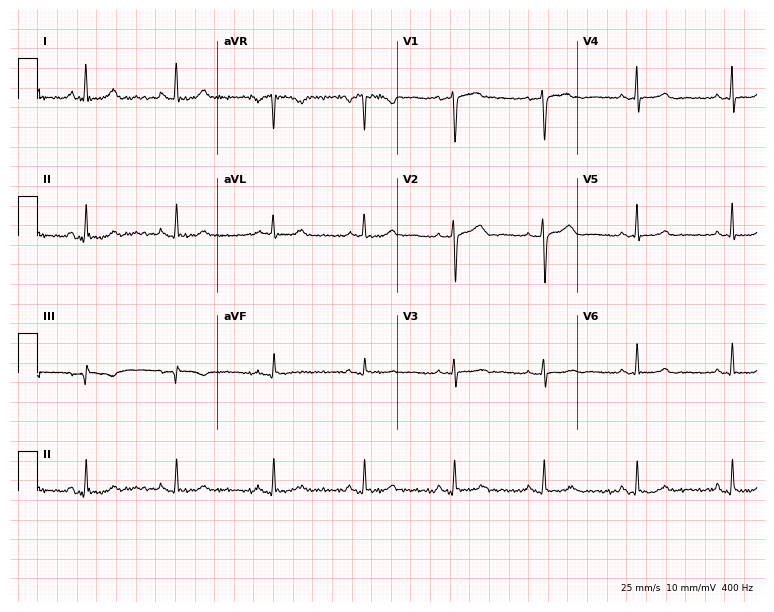
Resting 12-lead electrocardiogram. Patient: a 51-year-old female. Read as a normal ECG.